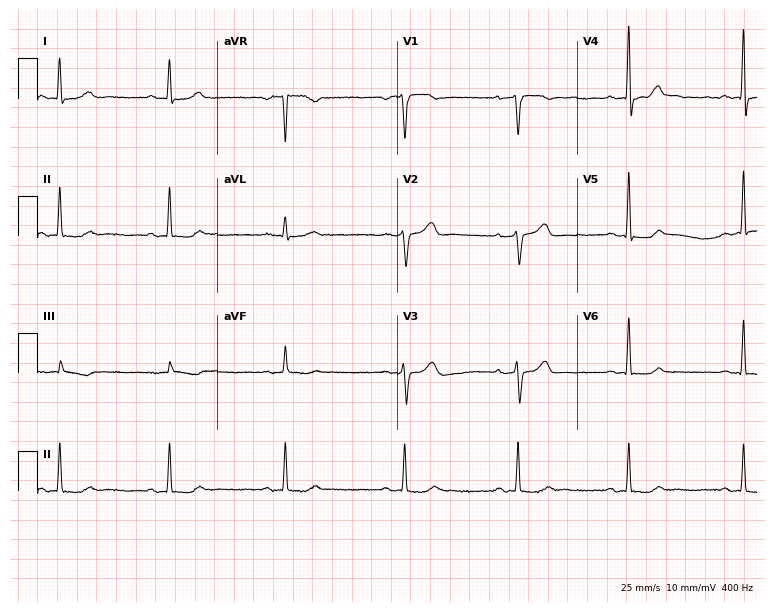
Standard 12-lead ECG recorded from a female, 60 years old (7.3-second recording at 400 Hz). None of these six findings is recorded: first-degree AV block, right bundle branch block, left bundle branch block, sinus bradycardia, atrial fibrillation, sinus tachycardia. Other findings, if any, are not listed.